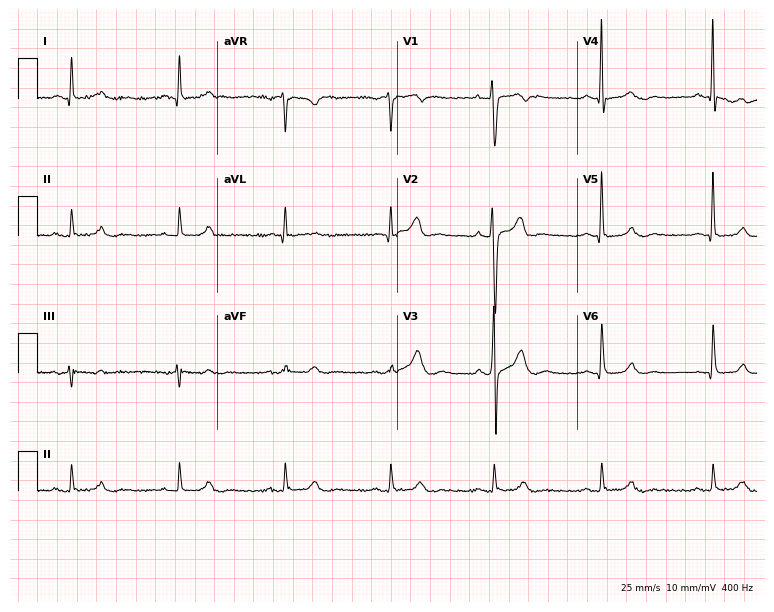
12-lead ECG from a male, 51 years old. Screened for six findings — first-degree AV block, right bundle branch block, left bundle branch block, sinus bradycardia, atrial fibrillation, sinus tachycardia — none is recorded.